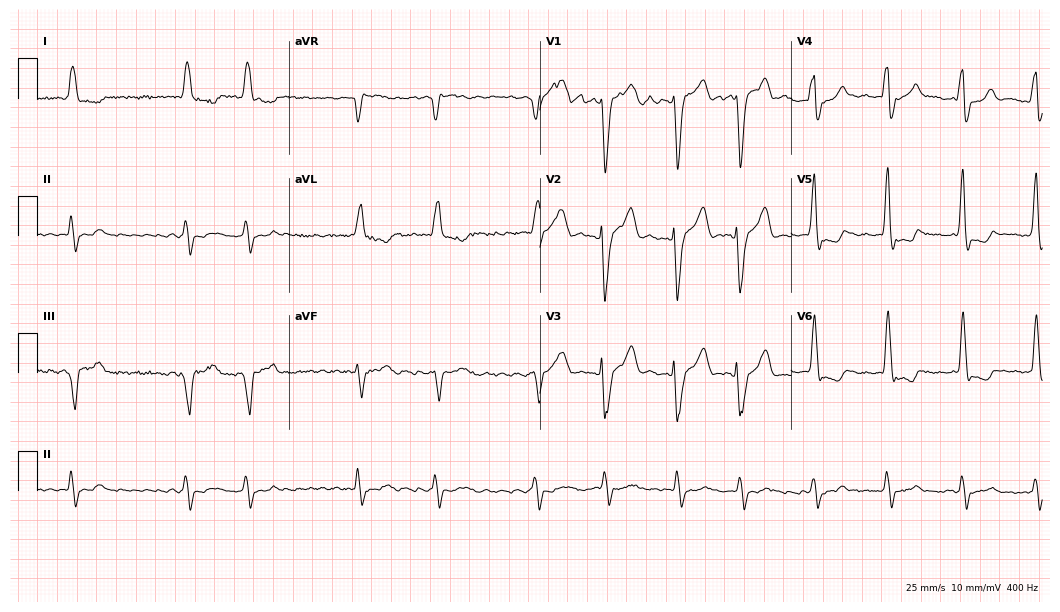
12-lead ECG from a female, 82 years old. Shows left bundle branch block, atrial fibrillation.